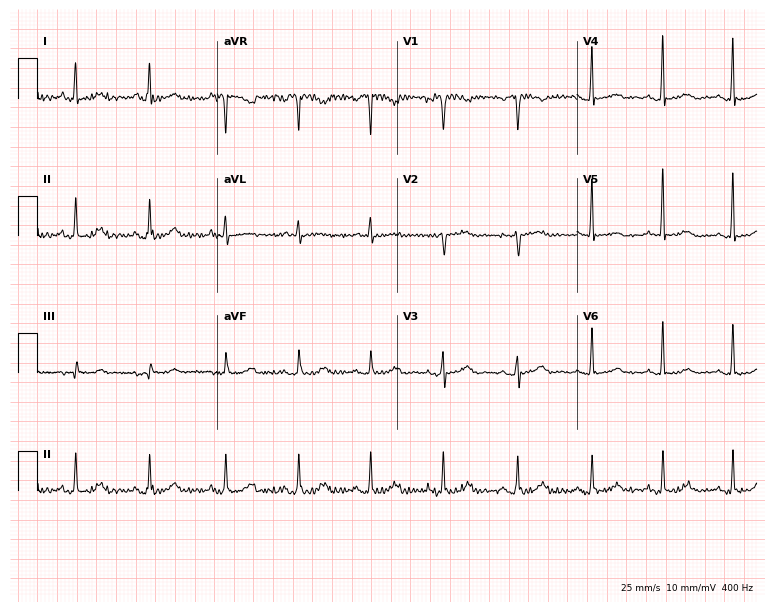
12-lead ECG from a female patient, 77 years old. Screened for six findings — first-degree AV block, right bundle branch block, left bundle branch block, sinus bradycardia, atrial fibrillation, sinus tachycardia — none is recorded. Other findings, if any, are not listed.